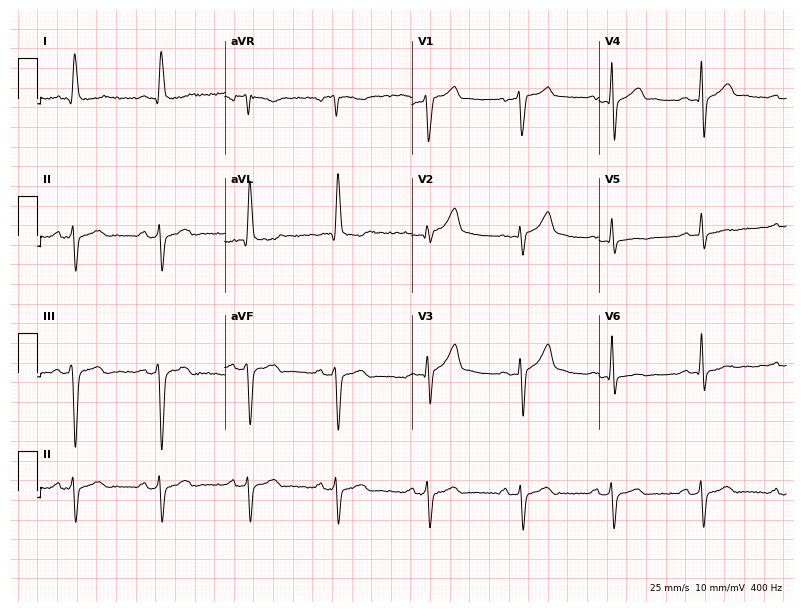
Electrocardiogram, a 51-year-old male patient. Of the six screened findings (first-degree AV block, right bundle branch block, left bundle branch block, sinus bradycardia, atrial fibrillation, sinus tachycardia), none is recorded. Findings outside these six are not listed.